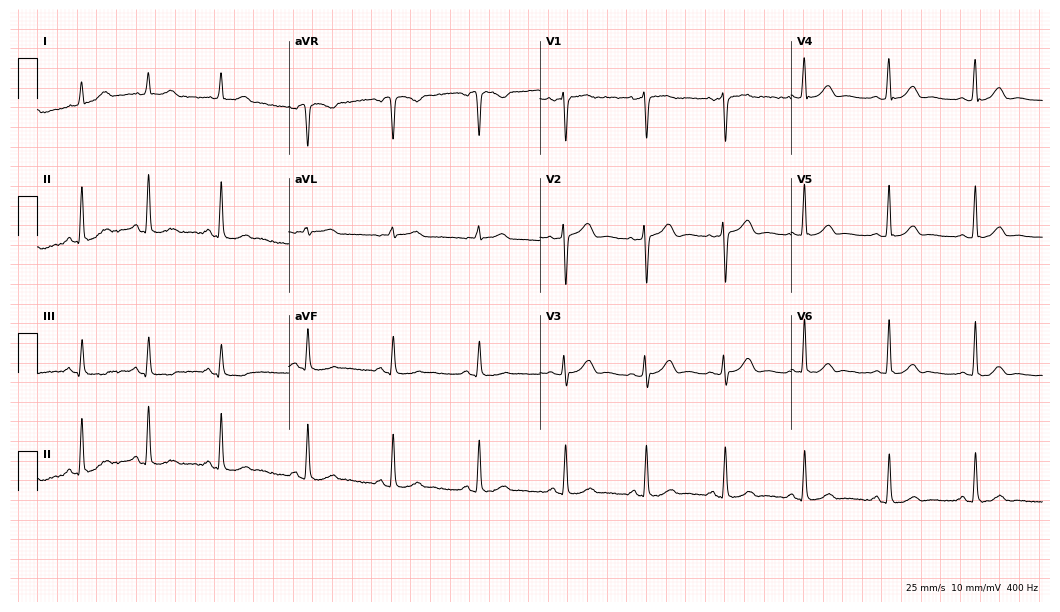
Standard 12-lead ECG recorded from a 36-year-old female patient. None of these six findings is recorded: first-degree AV block, right bundle branch block, left bundle branch block, sinus bradycardia, atrial fibrillation, sinus tachycardia. Only these six findings were labelled.